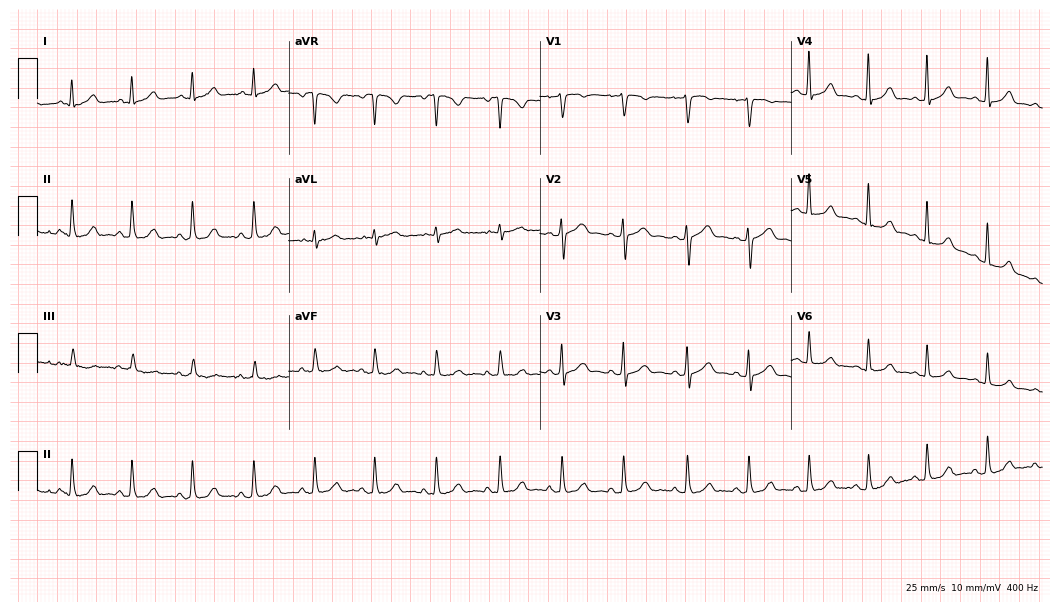
Standard 12-lead ECG recorded from a 44-year-old female patient (10.2-second recording at 400 Hz). Read as a normal ECG.